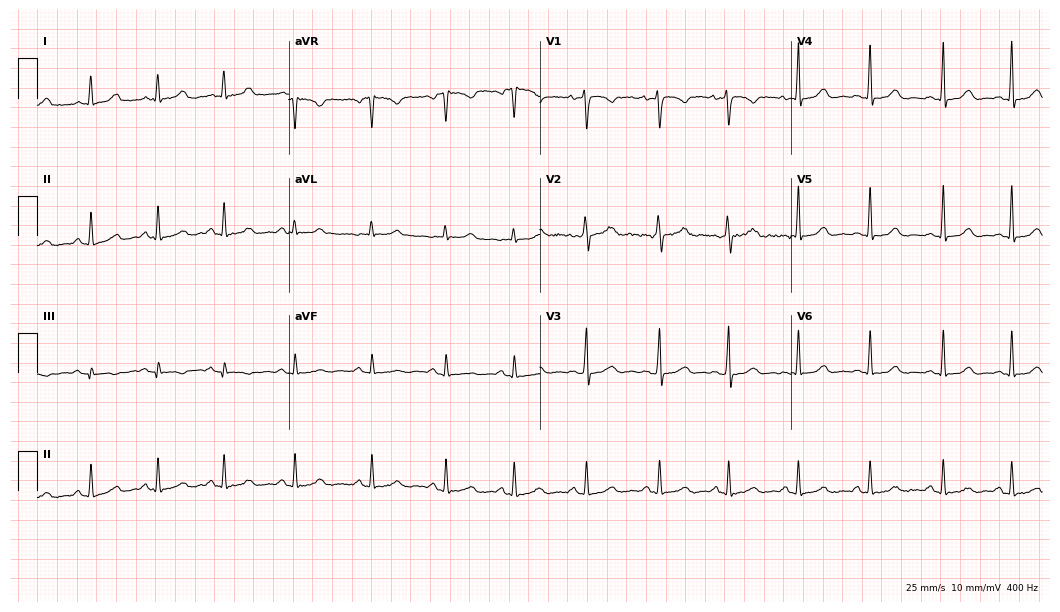
Standard 12-lead ECG recorded from a 34-year-old woman. Read as a normal ECG.